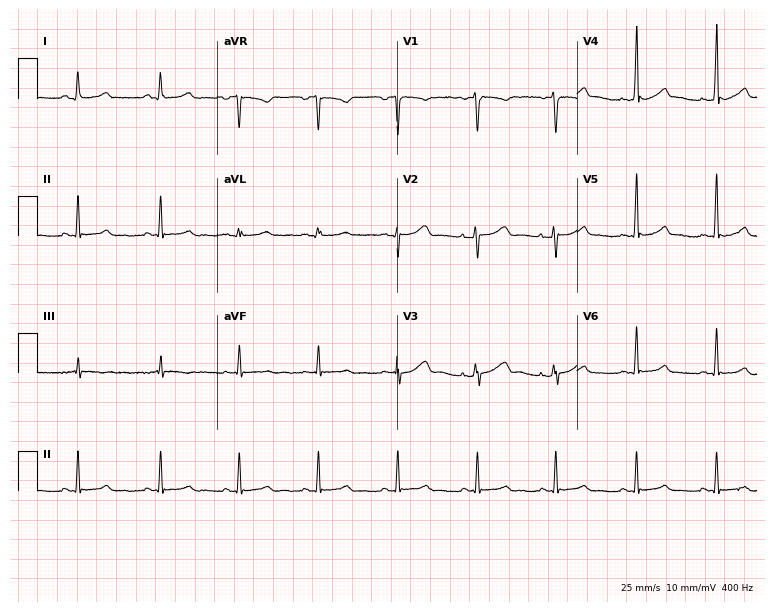
Resting 12-lead electrocardiogram. Patient: a woman, 21 years old. Read as a normal ECG.